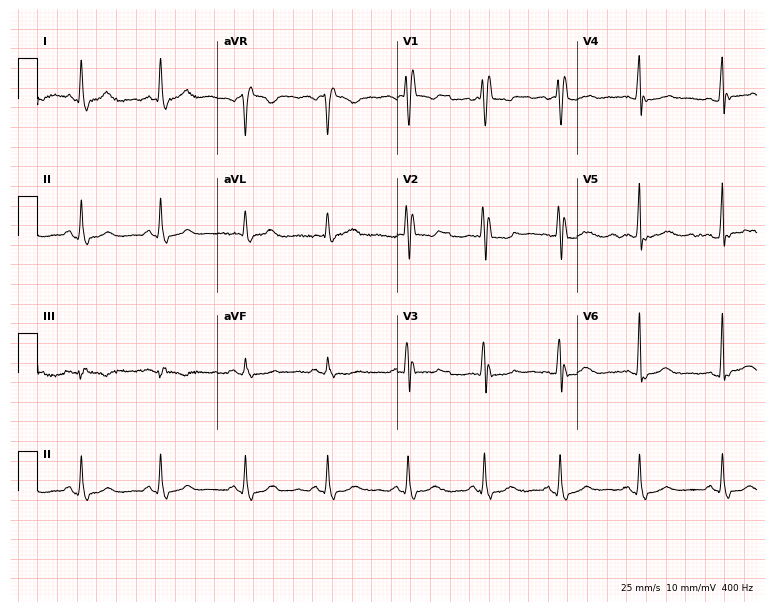
Standard 12-lead ECG recorded from a woman, 41 years old. None of these six findings is recorded: first-degree AV block, right bundle branch block (RBBB), left bundle branch block (LBBB), sinus bradycardia, atrial fibrillation (AF), sinus tachycardia. Findings outside these six are not listed.